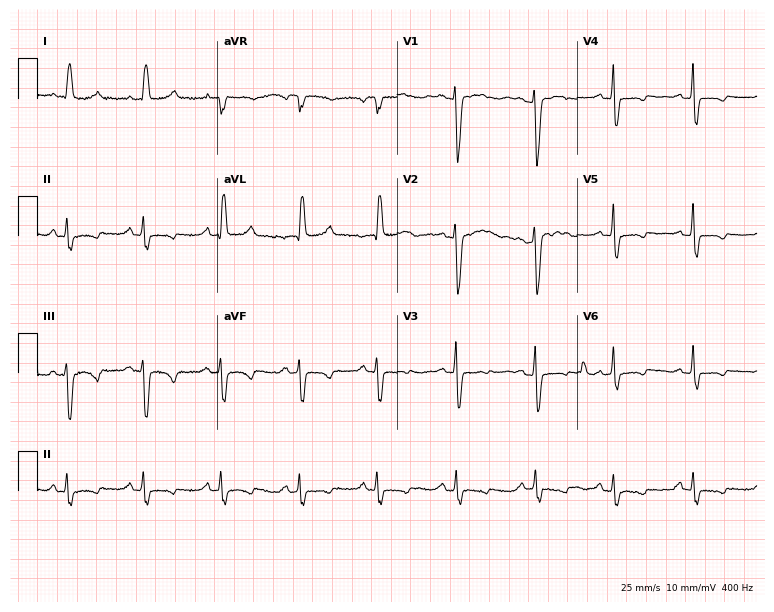
ECG — a female patient, 79 years old. Screened for six findings — first-degree AV block, right bundle branch block, left bundle branch block, sinus bradycardia, atrial fibrillation, sinus tachycardia — none is recorded. Other findings, if any, are not listed.